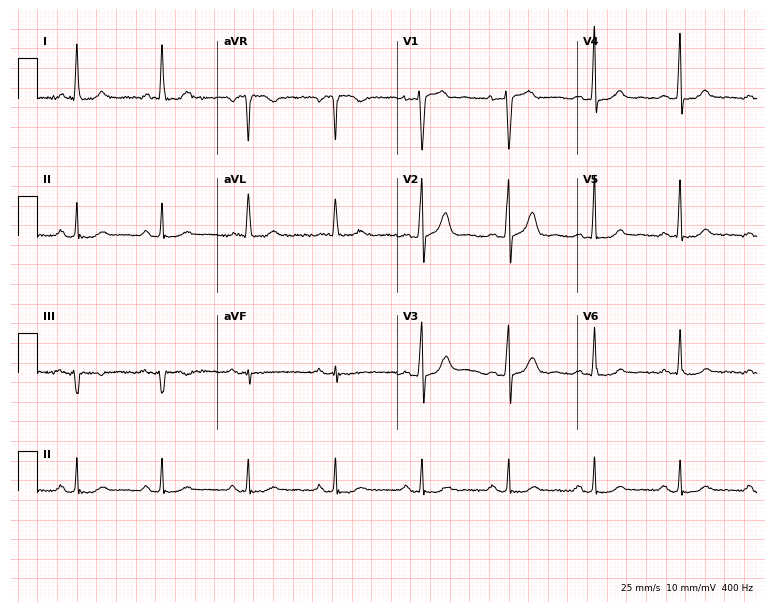
Electrocardiogram (7.3-second recording at 400 Hz), a 66-year-old male patient. Of the six screened findings (first-degree AV block, right bundle branch block (RBBB), left bundle branch block (LBBB), sinus bradycardia, atrial fibrillation (AF), sinus tachycardia), none is recorded.